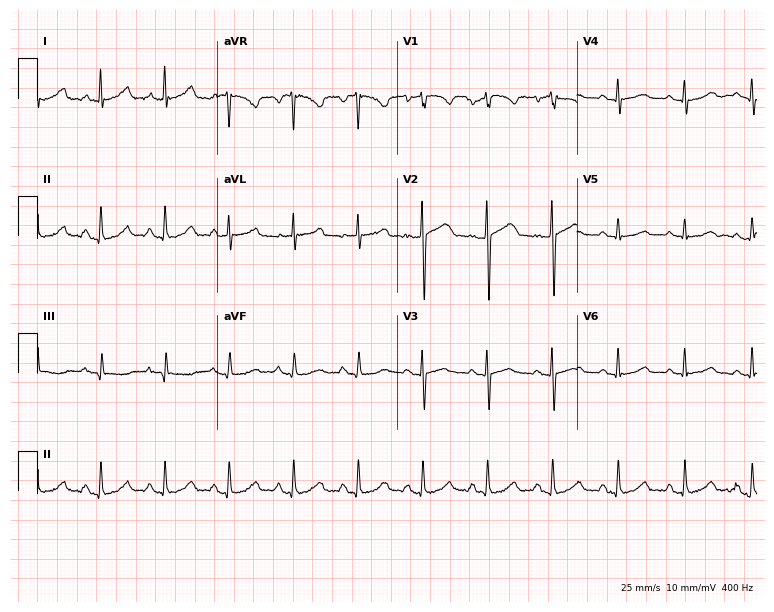
Electrocardiogram (7.3-second recording at 400 Hz), a female patient, 61 years old. Overall reading on record: normal ECG.